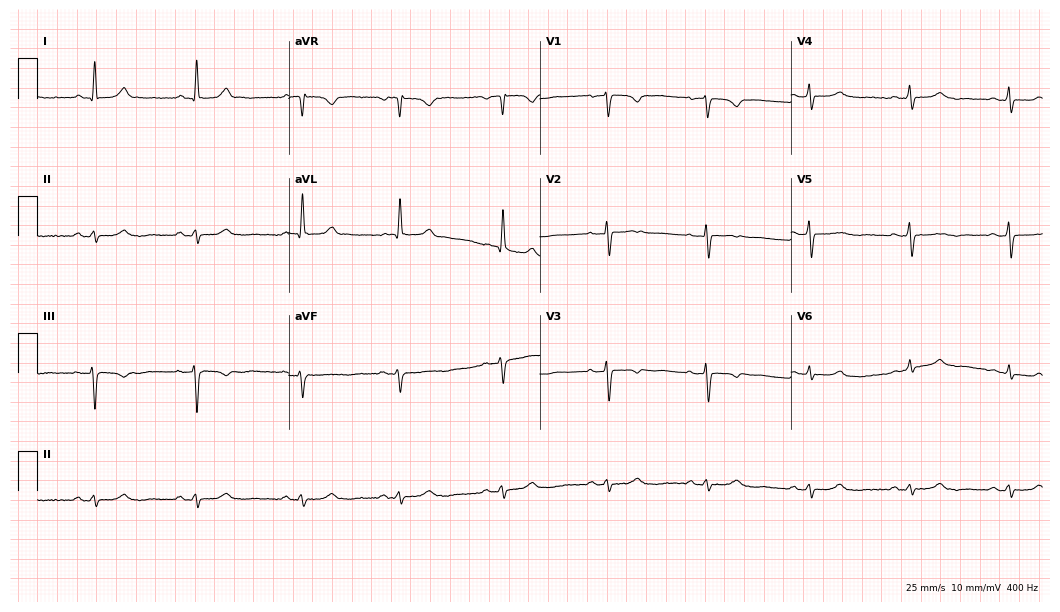
Standard 12-lead ECG recorded from an 81-year-old female. None of these six findings is recorded: first-degree AV block, right bundle branch block, left bundle branch block, sinus bradycardia, atrial fibrillation, sinus tachycardia.